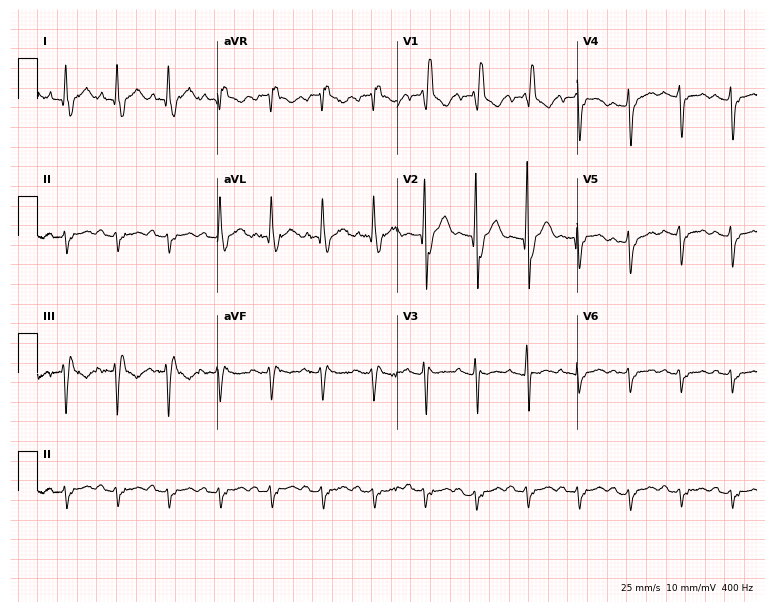
Resting 12-lead electrocardiogram. Patient: an 84-year-old man. The tracing shows right bundle branch block, sinus tachycardia (a sinus rate of 100 beats per minute or more).